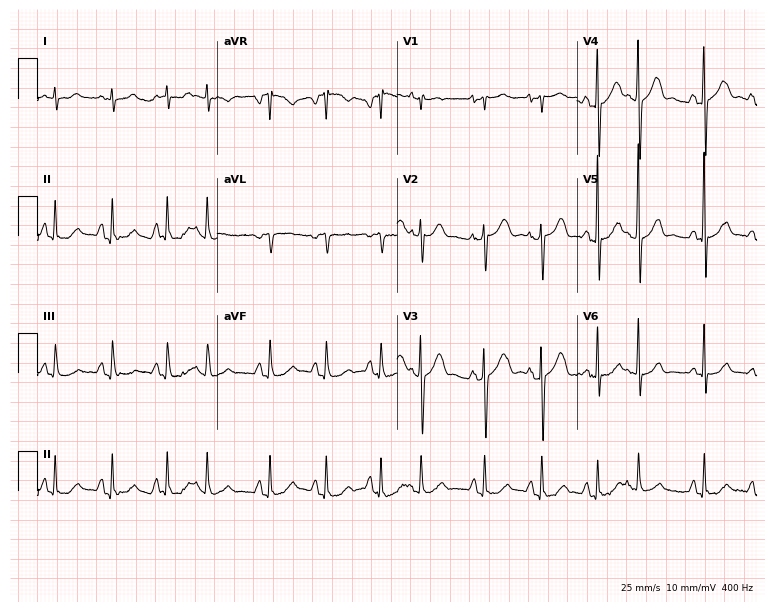
Standard 12-lead ECG recorded from a man, 80 years old (7.3-second recording at 400 Hz). None of these six findings is recorded: first-degree AV block, right bundle branch block, left bundle branch block, sinus bradycardia, atrial fibrillation, sinus tachycardia.